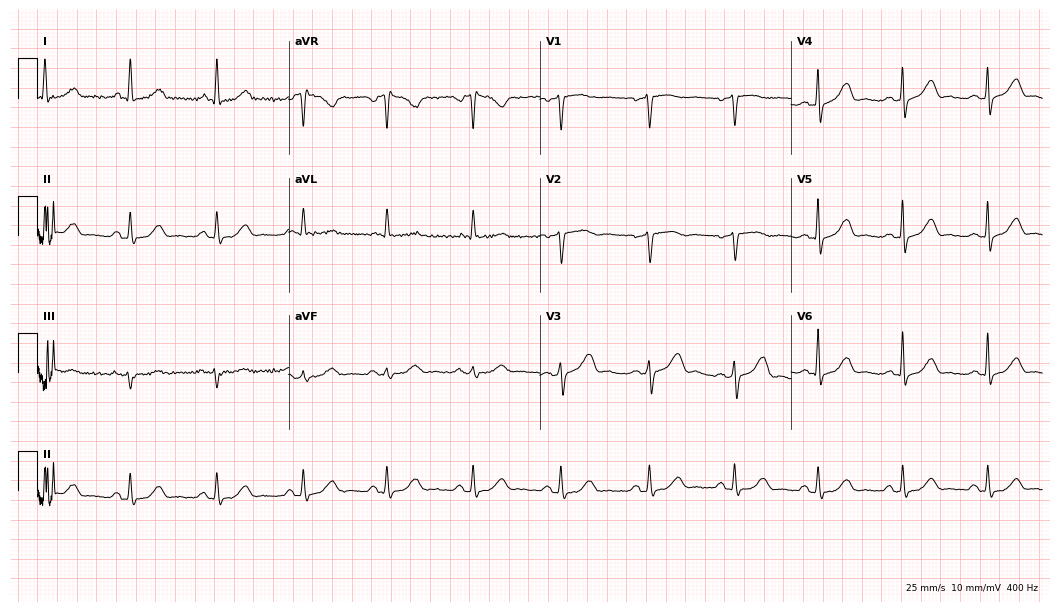
Resting 12-lead electrocardiogram (10.2-second recording at 400 Hz). Patient: a 66-year-old female. None of these six findings is recorded: first-degree AV block, right bundle branch block, left bundle branch block, sinus bradycardia, atrial fibrillation, sinus tachycardia. Other findings, if any, are not listed.